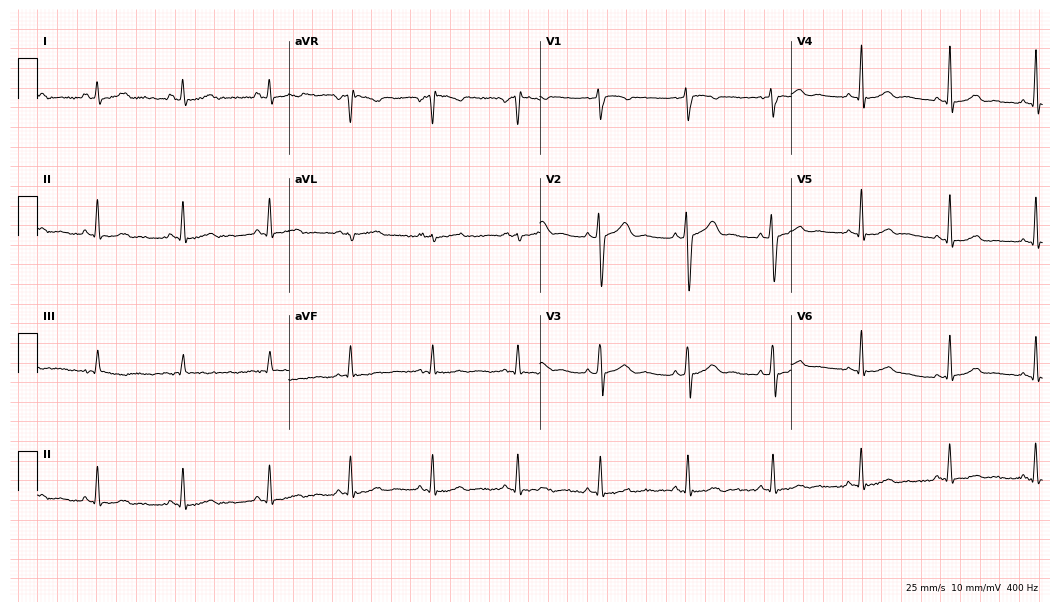
12-lead ECG (10.2-second recording at 400 Hz) from a woman, 24 years old. Labelled as a normal ECG.